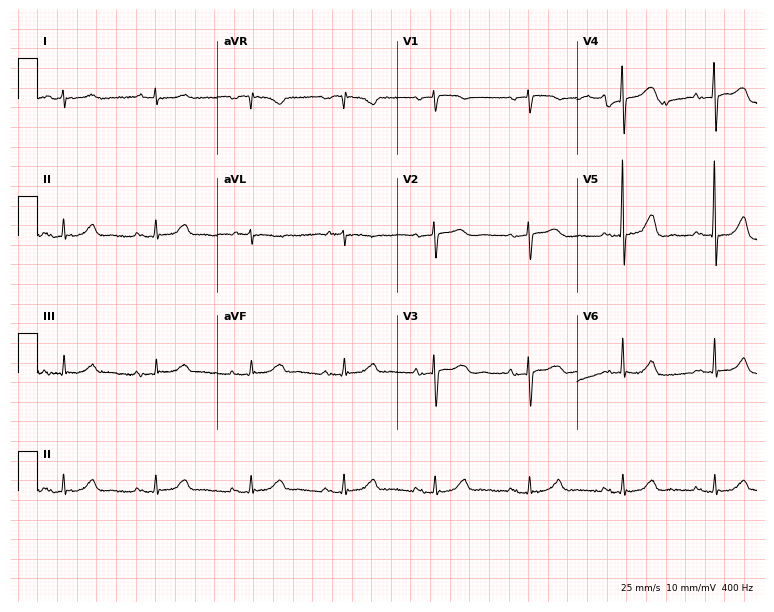
Resting 12-lead electrocardiogram (7.3-second recording at 400 Hz). Patient: a 70-year-old female. Read as a normal ECG.